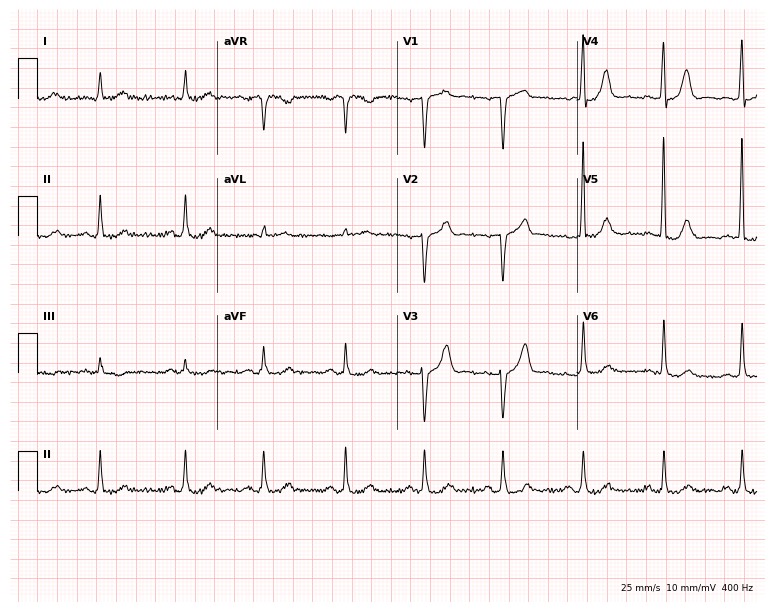
Resting 12-lead electrocardiogram (7.3-second recording at 400 Hz). Patient: an 81-year-old man. None of these six findings is recorded: first-degree AV block, right bundle branch block, left bundle branch block, sinus bradycardia, atrial fibrillation, sinus tachycardia.